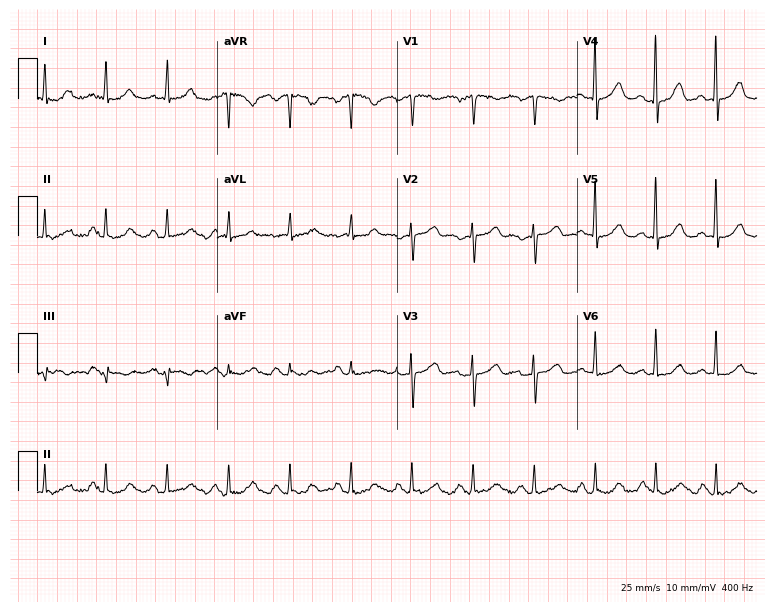
Standard 12-lead ECG recorded from a 49-year-old female (7.3-second recording at 400 Hz). None of these six findings is recorded: first-degree AV block, right bundle branch block, left bundle branch block, sinus bradycardia, atrial fibrillation, sinus tachycardia.